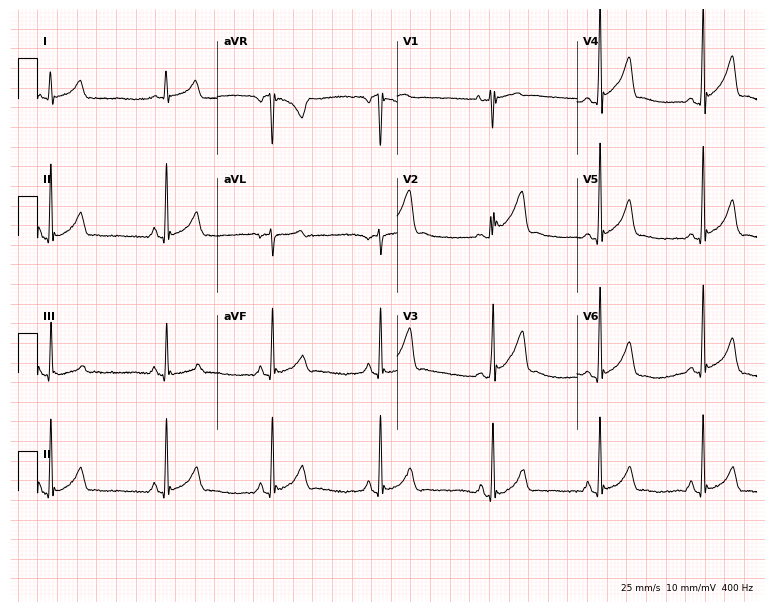
Electrocardiogram, a 24-year-old man. Of the six screened findings (first-degree AV block, right bundle branch block, left bundle branch block, sinus bradycardia, atrial fibrillation, sinus tachycardia), none is recorded. Findings outside these six are not listed.